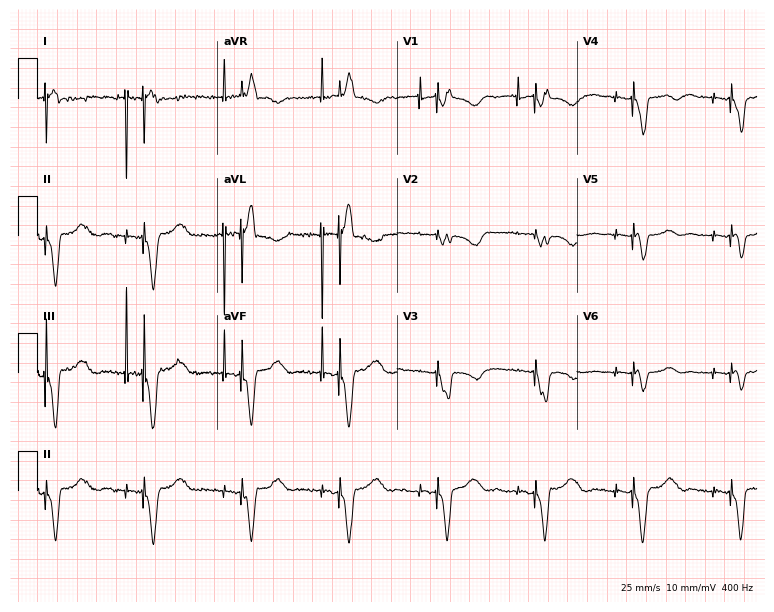
12-lead ECG from a woman, 82 years old. No first-degree AV block, right bundle branch block, left bundle branch block, sinus bradycardia, atrial fibrillation or sinus tachycardia recorded for this tracing.